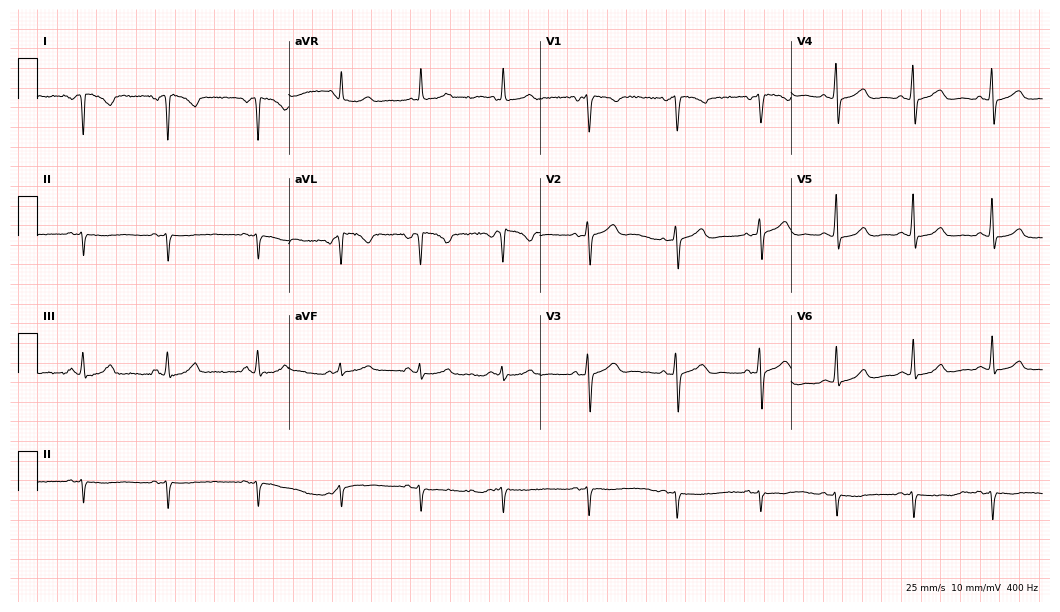
12-lead ECG from a 65-year-old male (10.2-second recording at 400 Hz). No first-degree AV block, right bundle branch block, left bundle branch block, sinus bradycardia, atrial fibrillation or sinus tachycardia recorded for this tracing.